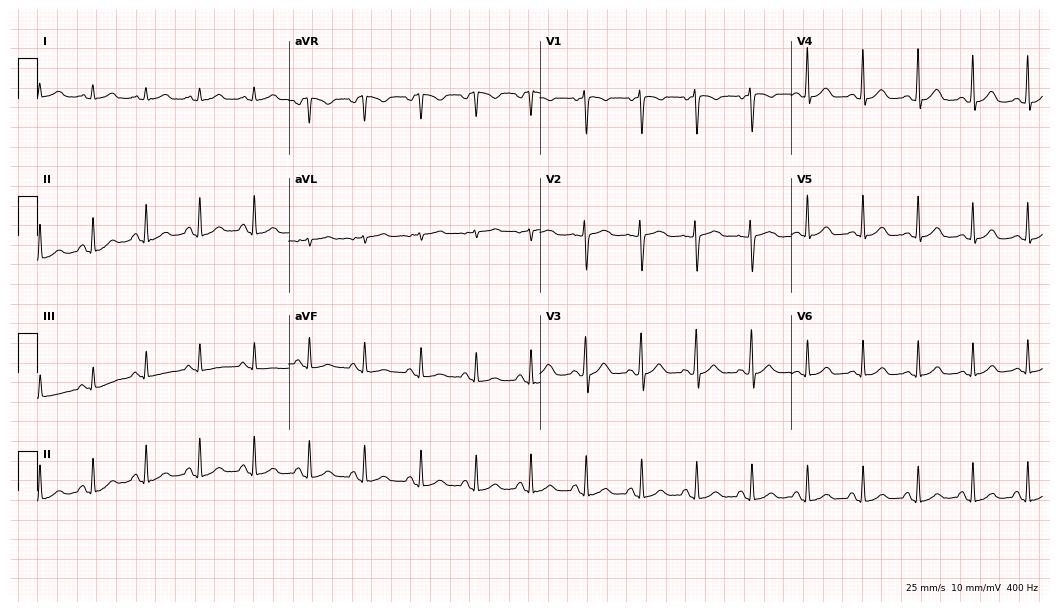
12-lead ECG from a female patient, 27 years old (10.2-second recording at 400 Hz). No first-degree AV block, right bundle branch block (RBBB), left bundle branch block (LBBB), sinus bradycardia, atrial fibrillation (AF) or sinus tachycardia recorded for this tracing.